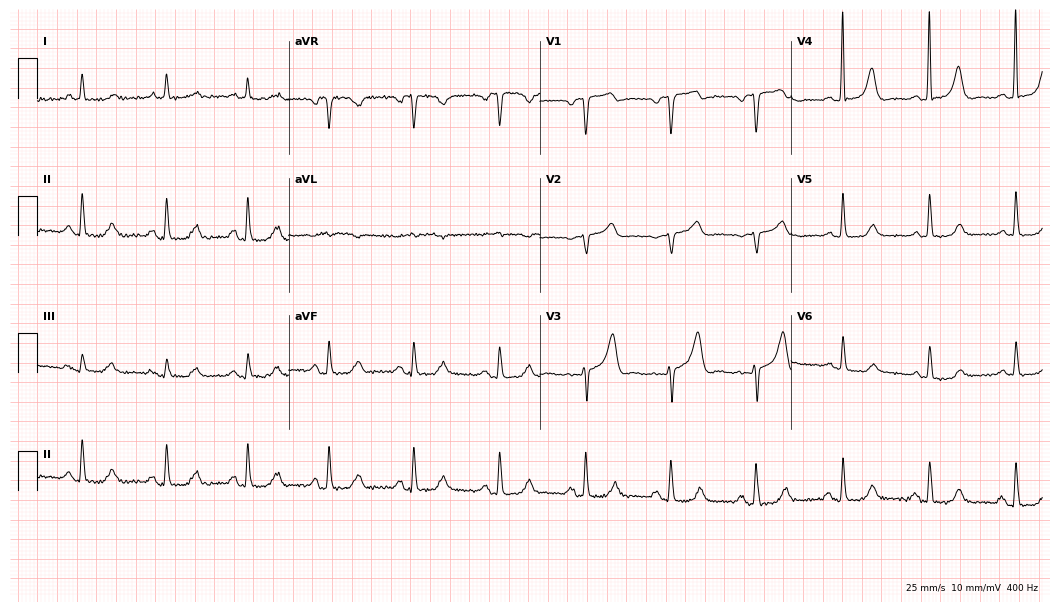
12-lead ECG from a woman, 76 years old. Screened for six findings — first-degree AV block, right bundle branch block, left bundle branch block, sinus bradycardia, atrial fibrillation, sinus tachycardia — none is recorded.